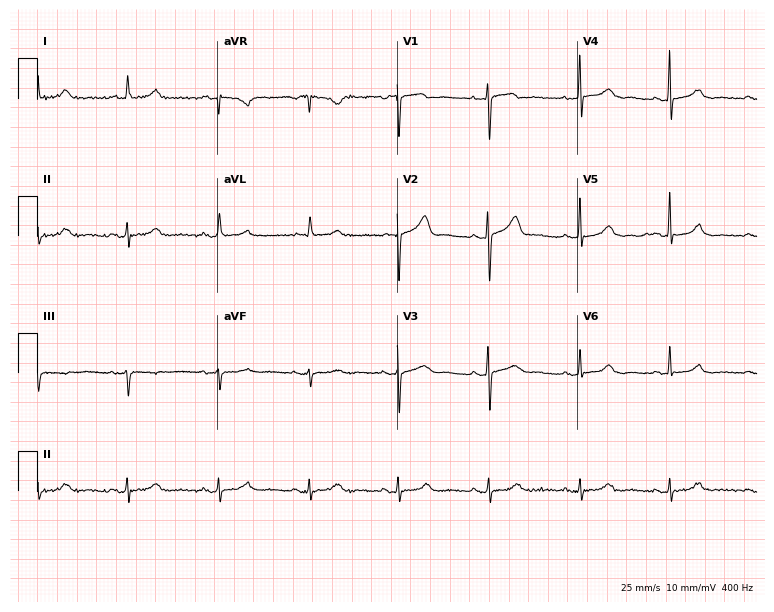
12-lead ECG from a woman, 63 years old. Labelled as a normal ECG.